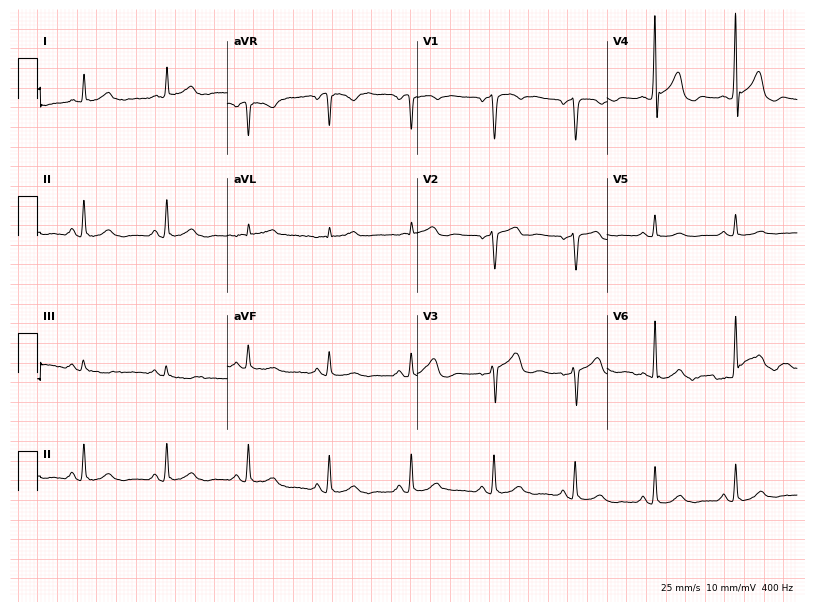
Resting 12-lead electrocardiogram (7.7-second recording at 400 Hz). Patient: a 79-year-old male. Read as a normal ECG.